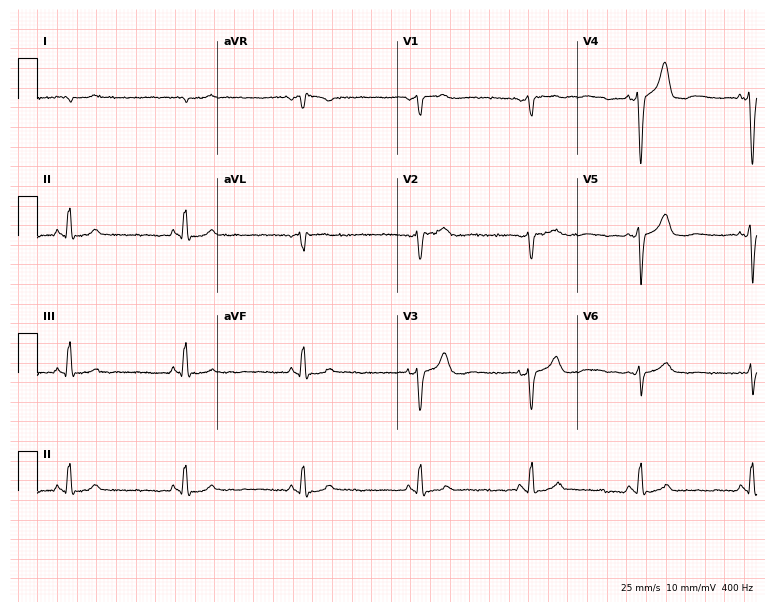
ECG (7.3-second recording at 400 Hz) — a male, 58 years old. Screened for six findings — first-degree AV block, right bundle branch block, left bundle branch block, sinus bradycardia, atrial fibrillation, sinus tachycardia — none is recorded. Other findings, if any, are not listed.